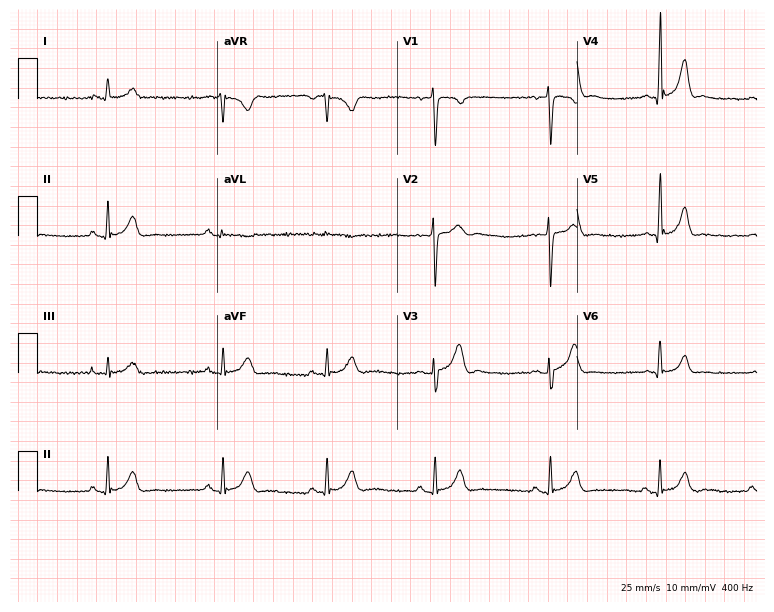
Electrocardiogram (7.3-second recording at 400 Hz), a 28-year-old man. Overall reading on record: normal ECG.